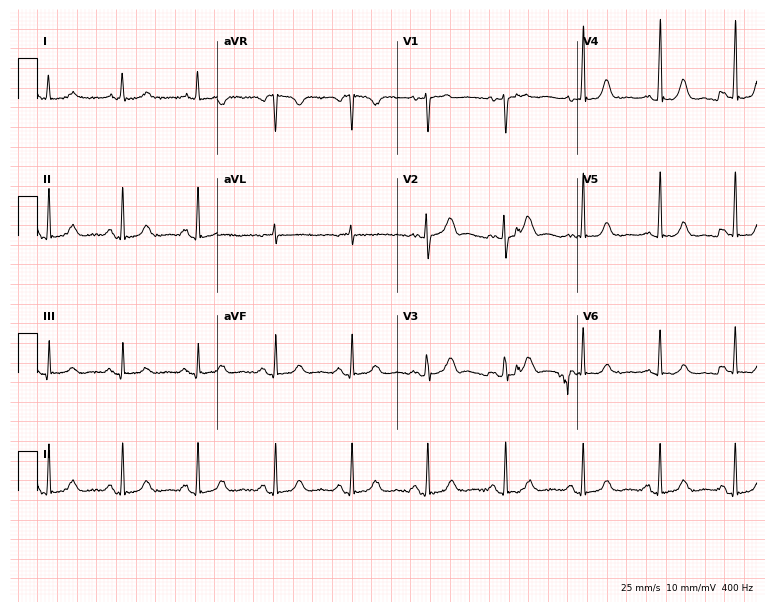
Standard 12-lead ECG recorded from a woman, 41 years old. Read as a normal ECG.